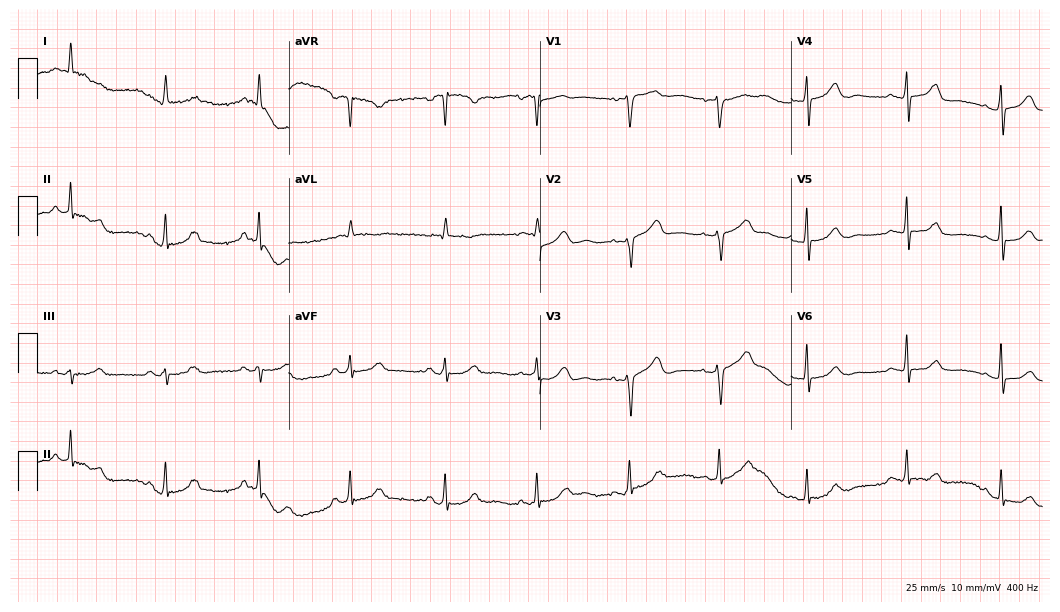
12-lead ECG from an 80-year-old female. No first-degree AV block, right bundle branch block, left bundle branch block, sinus bradycardia, atrial fibrillation or sinus tachycardia recorded for this tracing.